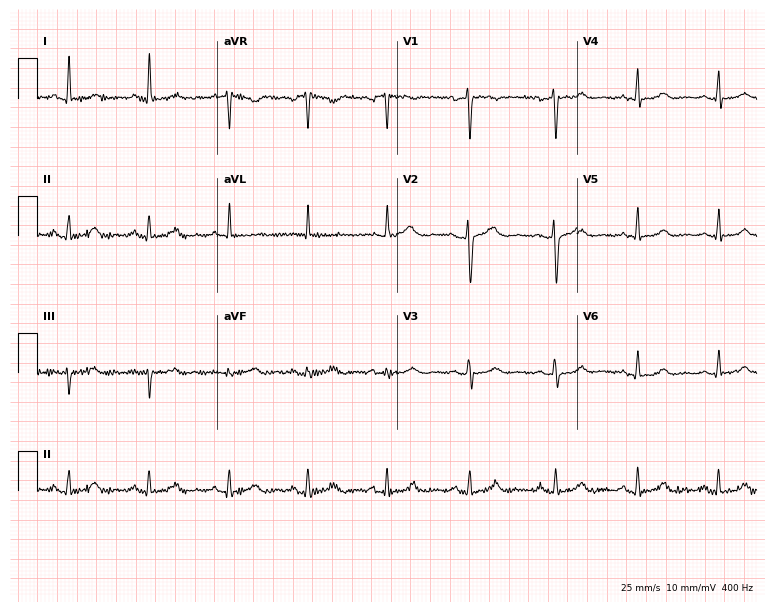
12-lead ECG (7.3-second recording at 400 Hz) from a female, 46 years old. Labelled as a normal ECG.